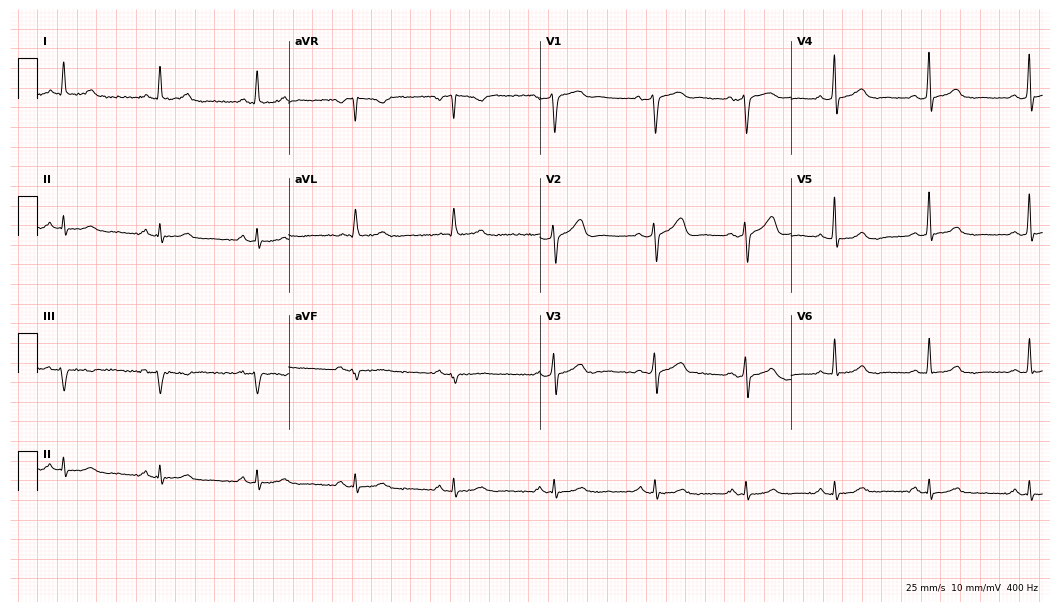
Standard 12-lead ECG recorded from a 47-year-old male. None of these six findings is recorded: first-degree AV block, right bundle branch block, left bundle branch block, sinus bradycardia, atrial fibrillation, sinus tachycardia.